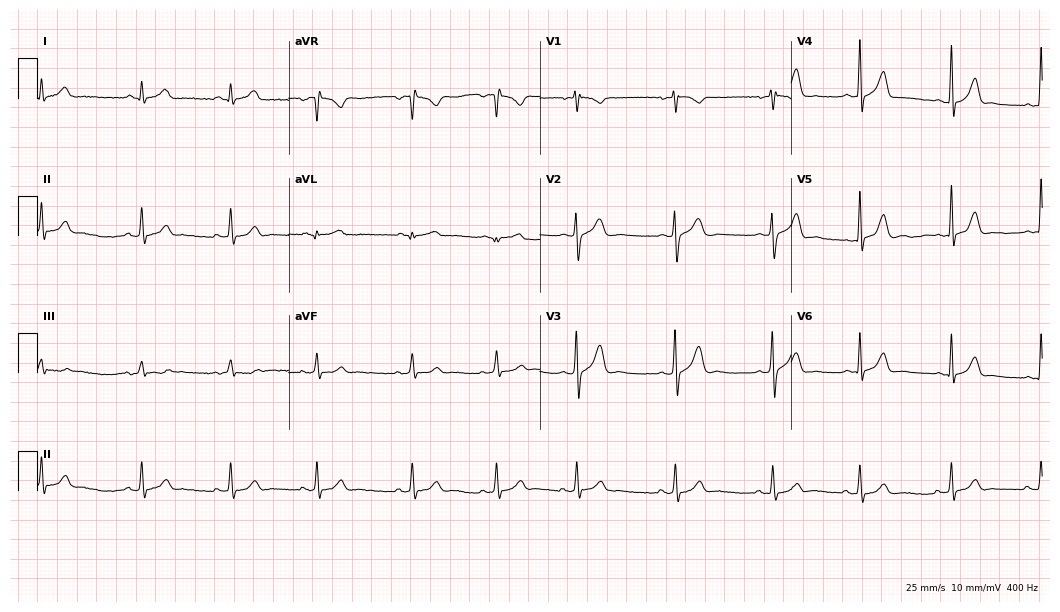
12-lead ECG from a female, 19 years old (10.2-second recording at 400 Hz). No first-degree AV block, right bundle branch block, left bundle branch block, sinus bradycardia, atrial fibrillation or sinus tachycardia recorded for this tracing.